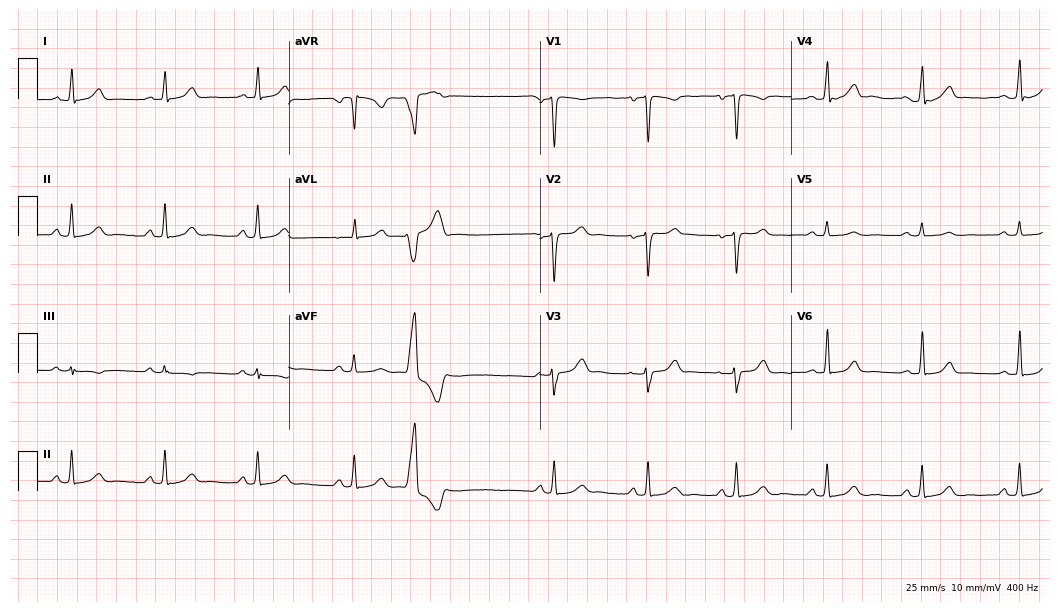
12-lead ECG from a female patient, 41 years old (10.2-second recording at 400 Hz). No first-degree AV block, right bundle branch block (RBBB), left bundle branch block (LBBB), sinus bradycardia, atrial fibrillation (AF) or sinus tachycardia recorded for this tracing.